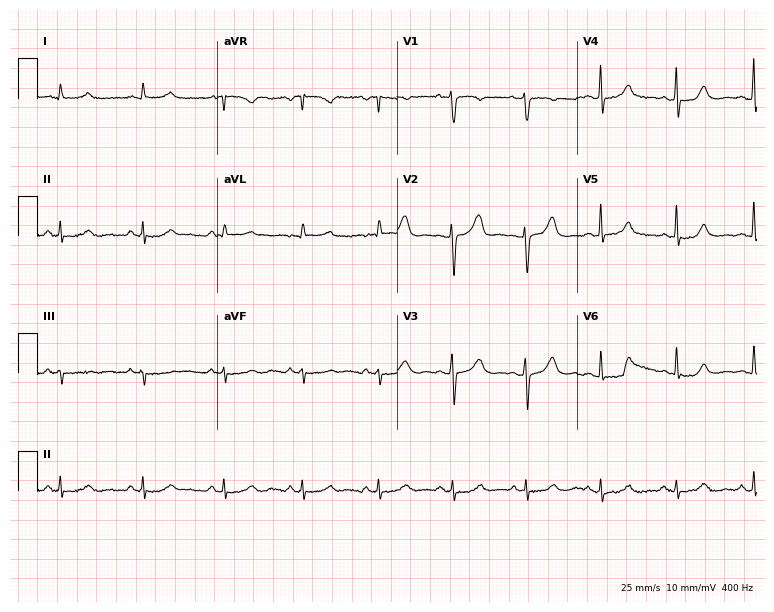
ECG — a 56-year-old female. Labelled as a normal ECG.